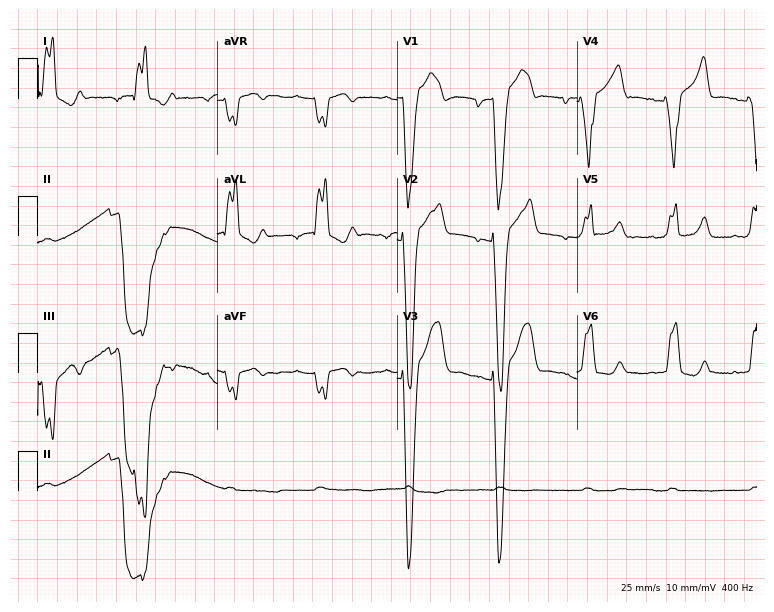
12-lead ECG (7.3-second recording at 400 Hz) from a 61-year-old man. Findings include left bundle branch block (LBBB).